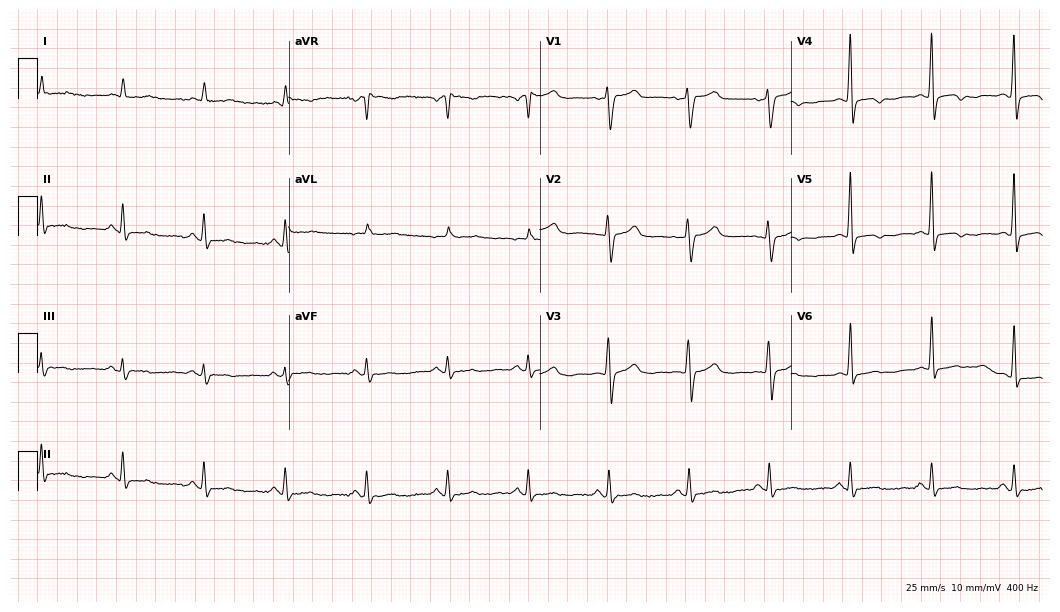
12-lead ECG from a man, 75 years old. Screened for six findings — first-degree AV block, right bundle branch block, left bundle branch block, sinus bradycardia, atrial fibrillation, sinus tachycardia — none is recorded.